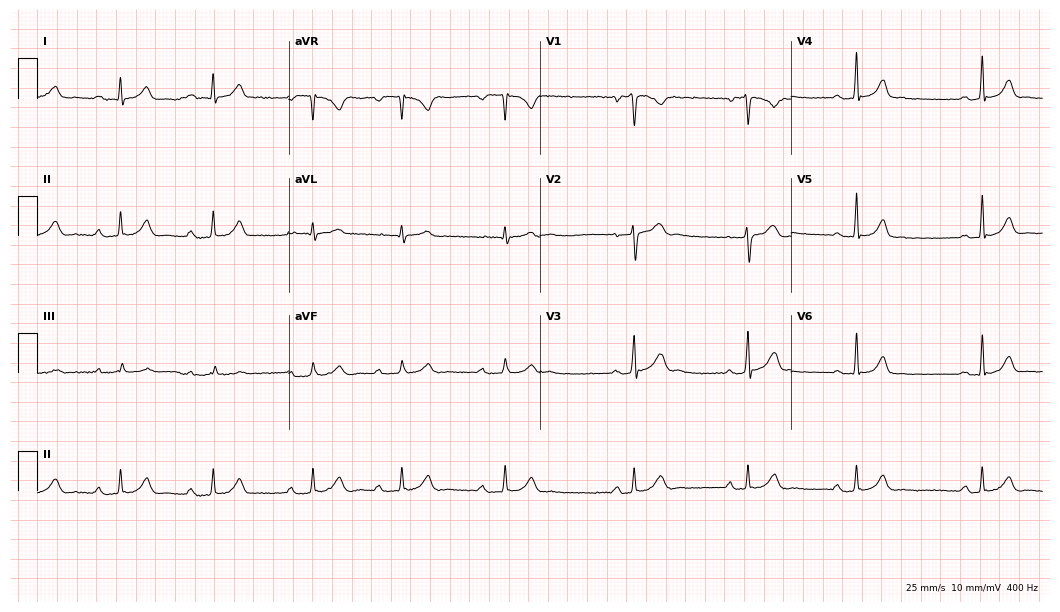
ECG (10.2-second recording at 400 Hz) — a male, 20 years old. Findings include first-degree AV block.